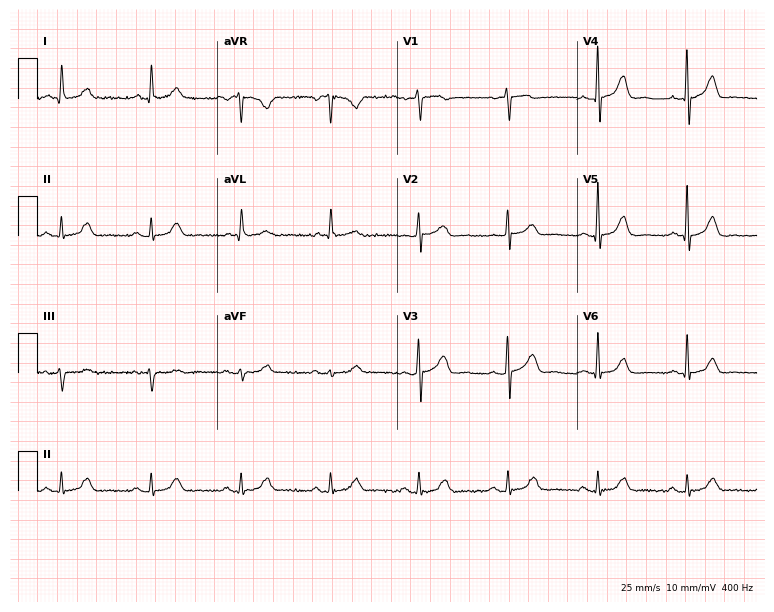
Electrocardiogram (7.3-second recording at 400 Hz), a female patient, 83 years old. Overall reading on record: normal ECG.